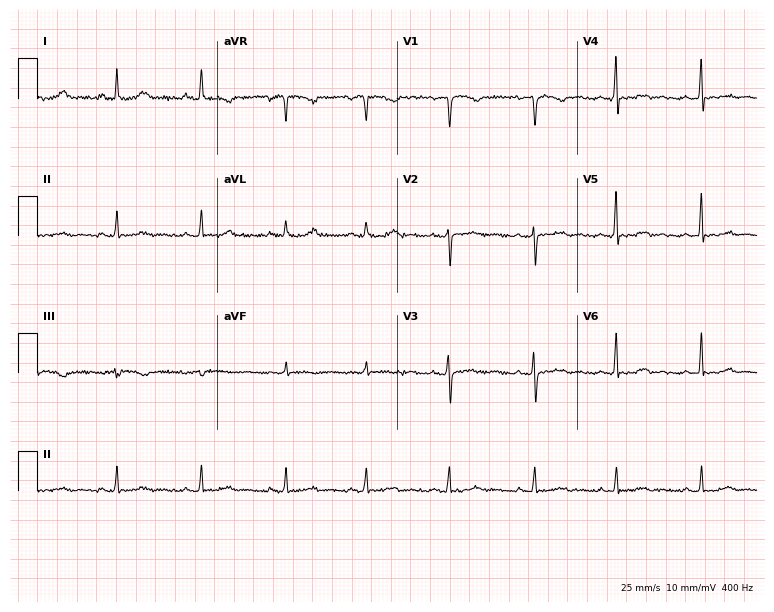
Standard 12-lead ECG recorded from a 36-year-old woman. Read as a normal ECG.